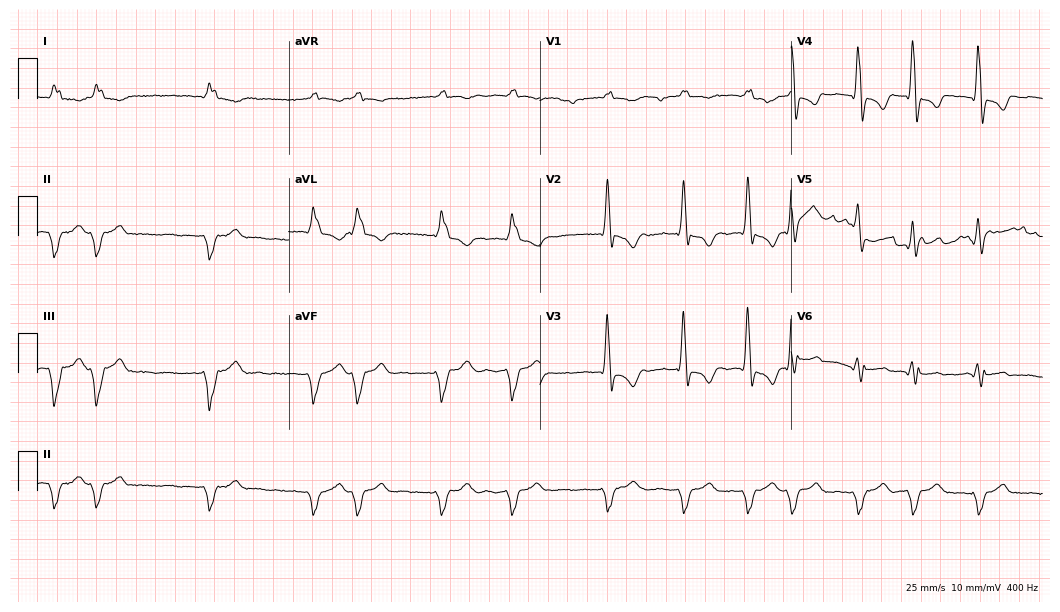
Electrocardiogram (10.2-second recording at 400 Hz), a 73-year-old man. Interpretation includes right bundle branch block, atrial fibrillation.